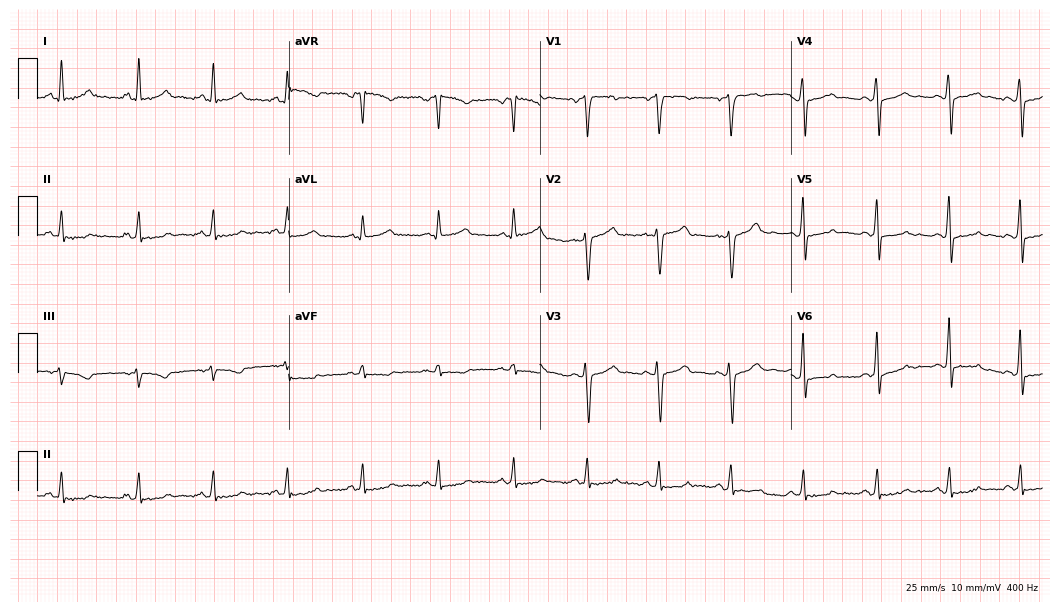
Resting 12-lead electrocardiogram. Patient: a female, 41 years old. None of these six findings is recorded: first-degree AV block, right bundle branch block, left bundle branch block, sinus bradycardia, atrial fibrillation, sinus tachycardia.